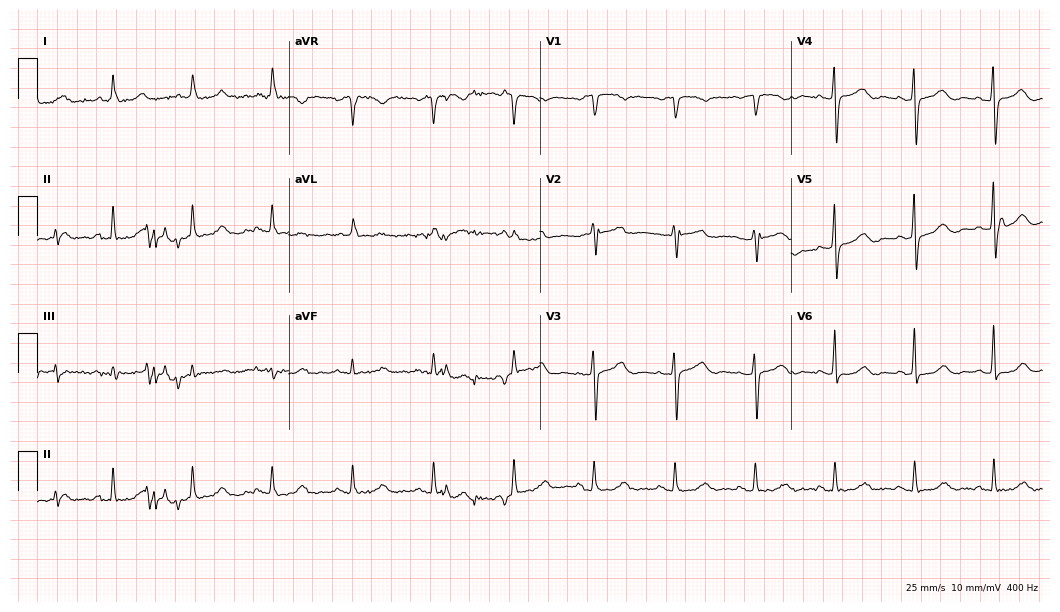
12-lead ECG from a female, 74 years old. Labelled as a normal ECG.